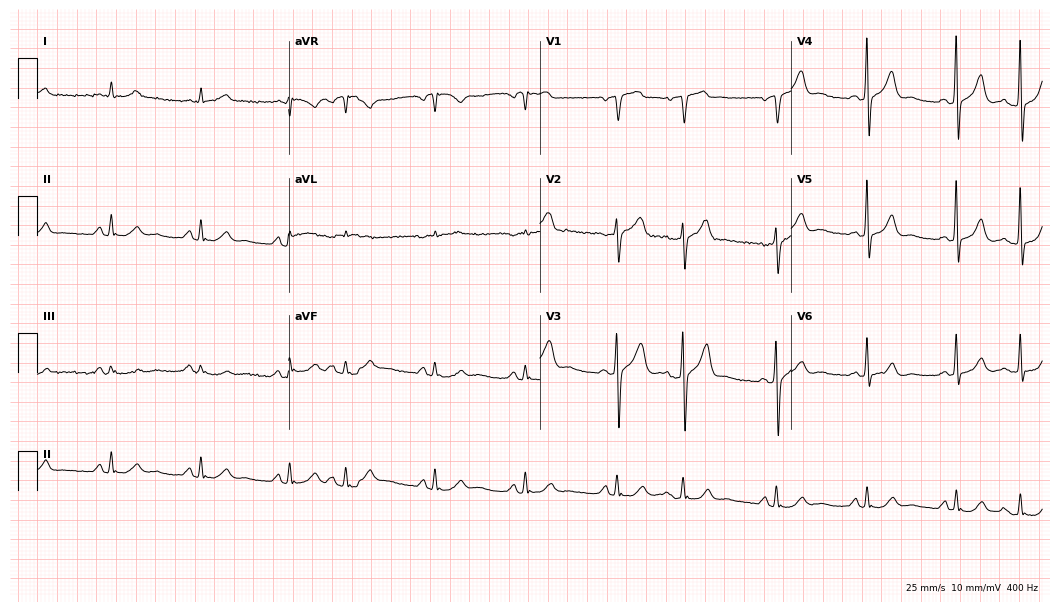
Resting 12-lead electrocardiogram. Patient: a male, 69 years old. None of these six findings is recorded: first-degree AV block, right bundle branch block, left bundle branch block, sinus bradycardia, atrial fibrillation, sinus tachycardia.